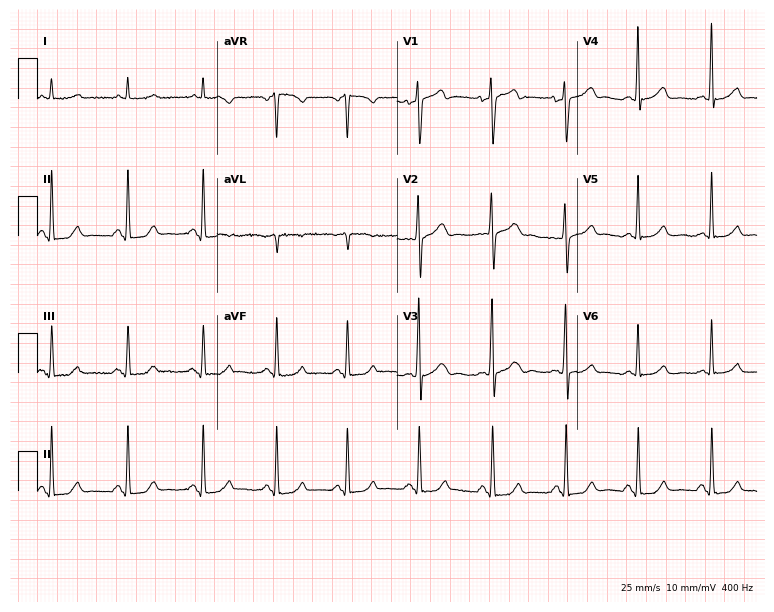
Standard 12-lead ECG recorded from a male, 68 years old (7.3-second recording at 400 Hz). Read as a normal ECG.